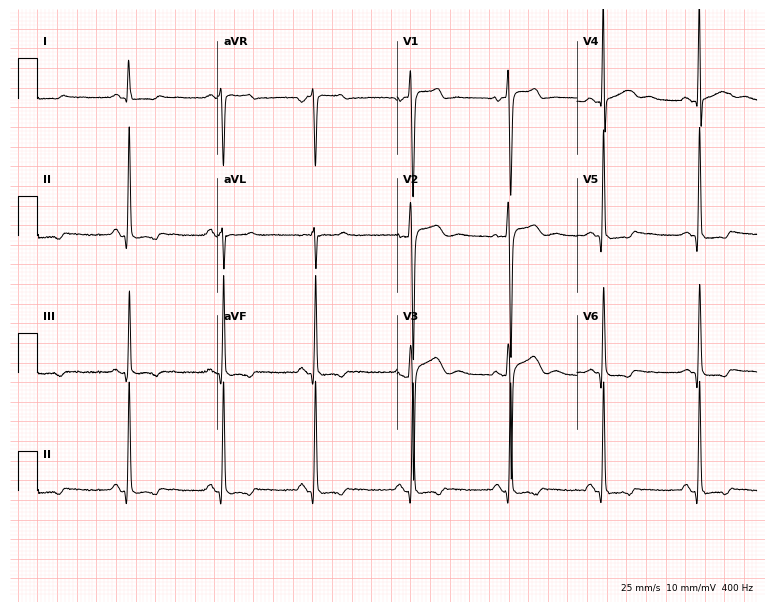
Resting 12-lead electrocardiogram. Patient: a 33-year-old male. None of these six findings is recorded: first-degree AV block, right bundle branch block, left bundle branch block, sinus bradycardia, atrial fibrillation, sinus tachycardia.